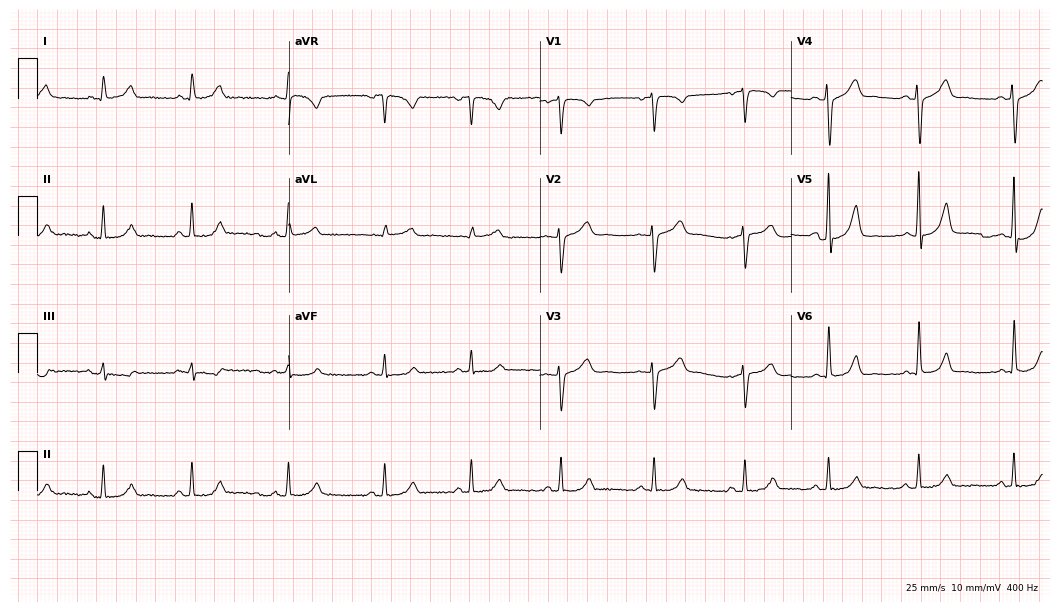
Standard 12-lead ECG recorded from a 34-year-old female. Read as a normal ECG.